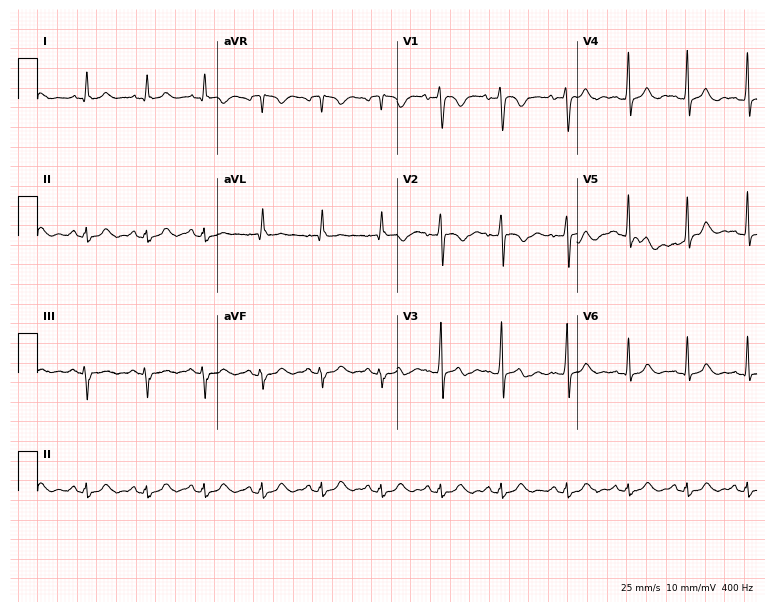
Electrocardiogram (7.3-second recording at 400 Hz), a 22-year-old female patient. Of the six screened findings (first-degree AV block, right bundle branch block (RBBB), left bundle branch block (LBBB), sinus bradycardia, atrial fibrillation (AF), sinus tachycardia), none is recorded.